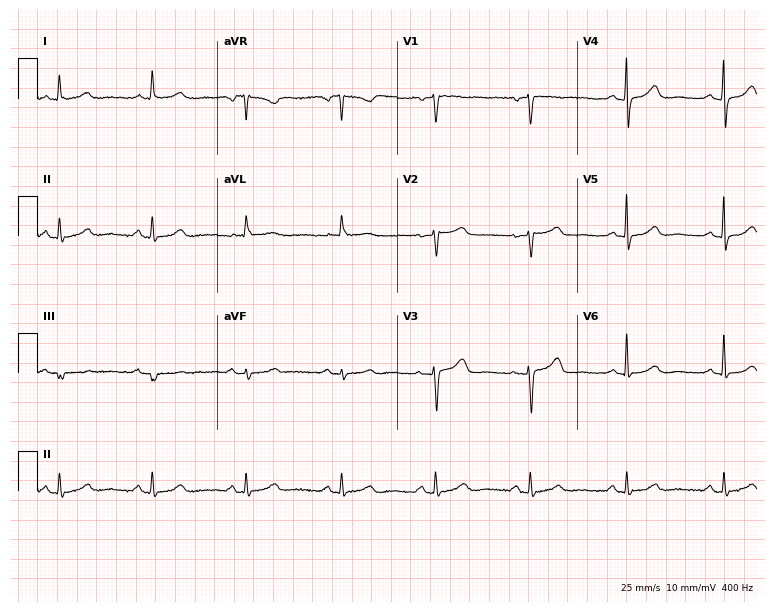
Resting 12-lead electrocardiogram (7.3-second recording at 400 Hz). Patient: a 72-year-old female. Read as a normal ECG.